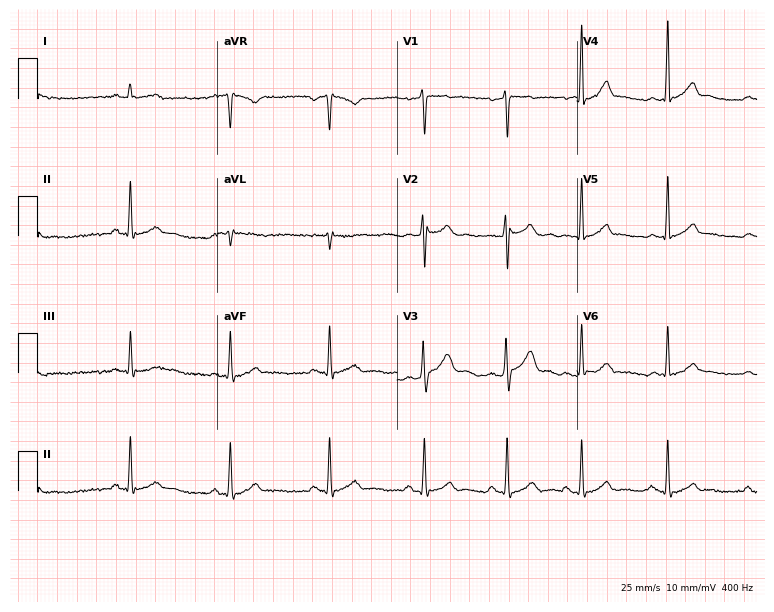
12-lead ECG from a 21-year-old male patient (7.3-second recording at 400 Hz). Recorded interpretation: within normal limits.